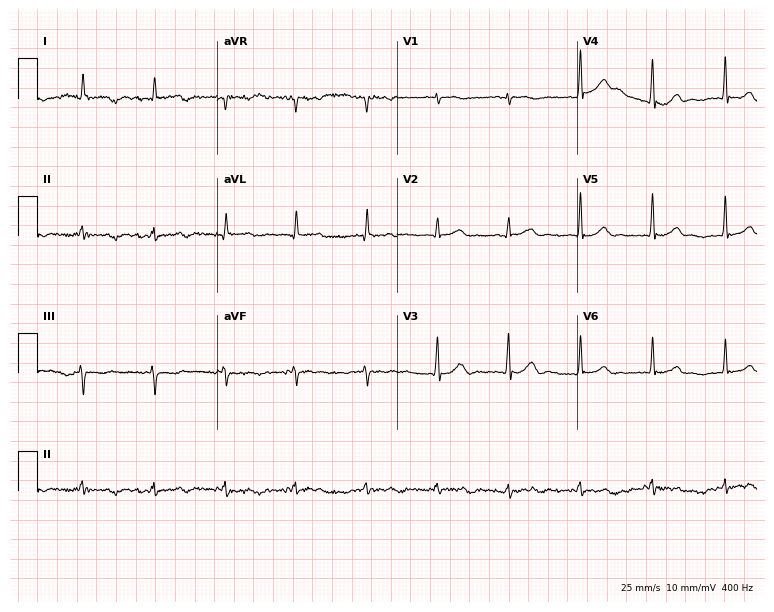
12-lead ECG (7.3-second recording at 400 Hz) from a male patient, 79 years old. Screened for six findings — first-degree AV block, right bundle branch block, left bundle branch block, sinus bradycardia, atrial fibrillation, sinus tachycardia — none is recorded.